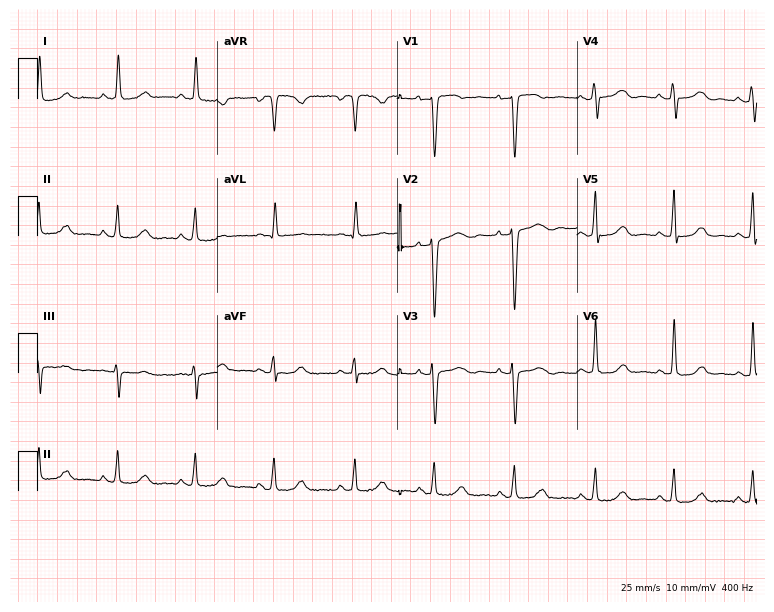
ECG (7.3-second recording at 400 Hz) — a female patient, 53 years old. Screened for six findings — first-degree AV block, right bundle branch block, left bundle branch block, sinus bradycardia, atrial fibrillation, sinus tachycardia — none is recorded. Only these six findings were labelled.